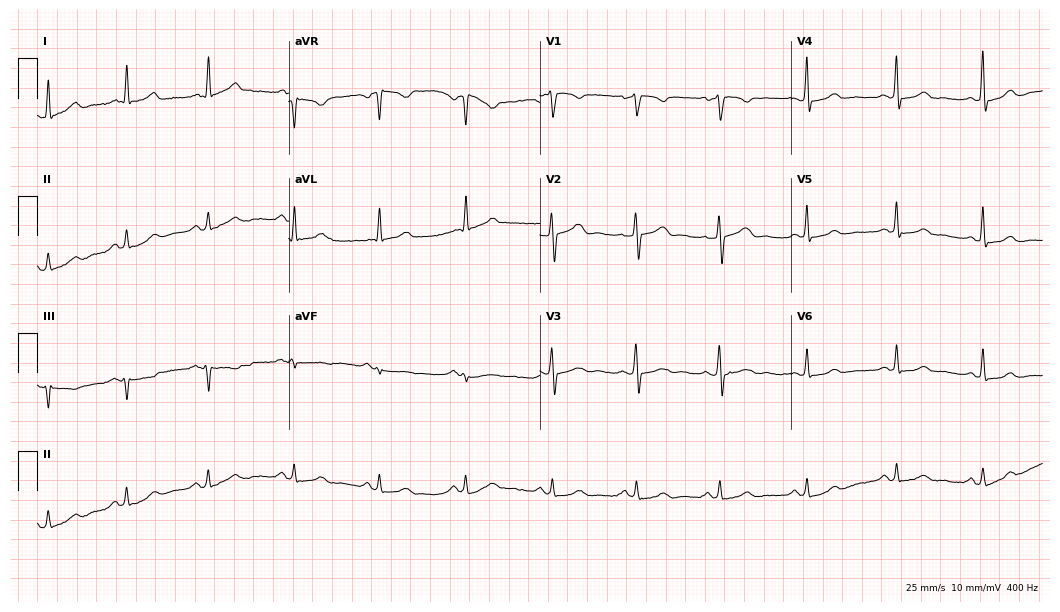
12-lead ECG from a female, 41 years old (10.2-second recording at 400 Hz). No first-degree AV block, right bundle branch block, left bundle branch block, sinus bradycardia, atrial fibrillation or sinus tachycardia recorded for this tracing.